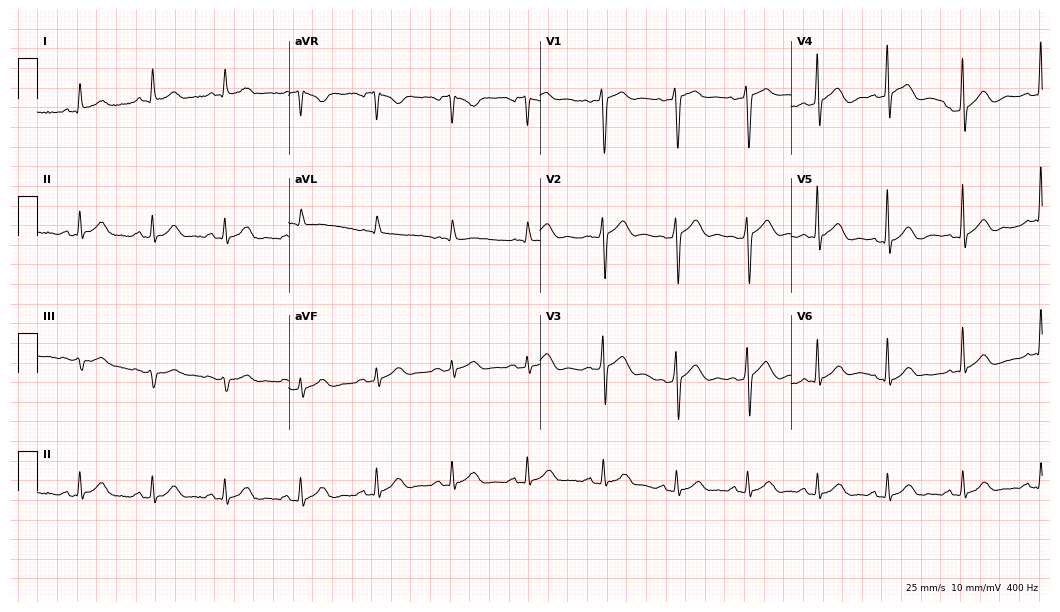
Electrocardiogram (10.2-second recording at 400 Hz), a man, 57 years old. Overall reading on record: normal ECG.